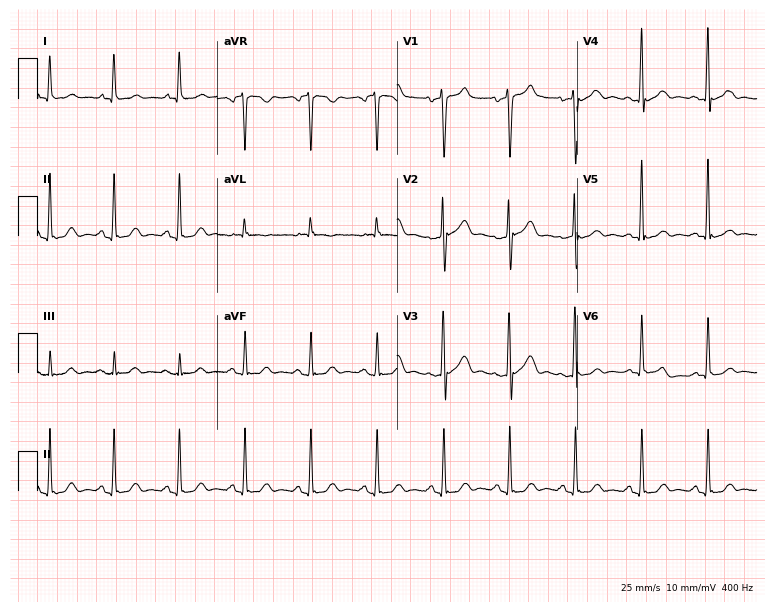
Electrocardiogram (7.3-second recording at 400 Hz), a male, 51 years old. Of the six screened findings (first-degree AV block, right bundle branch block (RBBB), left bundle branch block (LBBB), sinus bradycardia, atrial fibrillation (AF), sinus tachycardia), none is recorded.